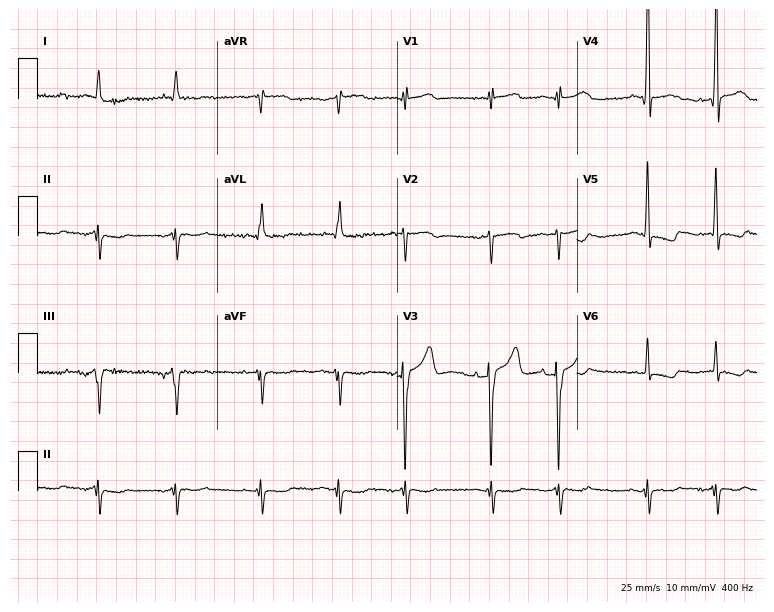
Resting 12-lead electrocardiogram (7.3-second recording at 400 Hz). Patient: an 84-year-old male. None of these six findings is recorded: first-degree AV block, right bundle branch block (RBBB), left bundle branch block (LBBB), sinus bradycardia, atrial fibrillation (AF), sinus tachycardia.